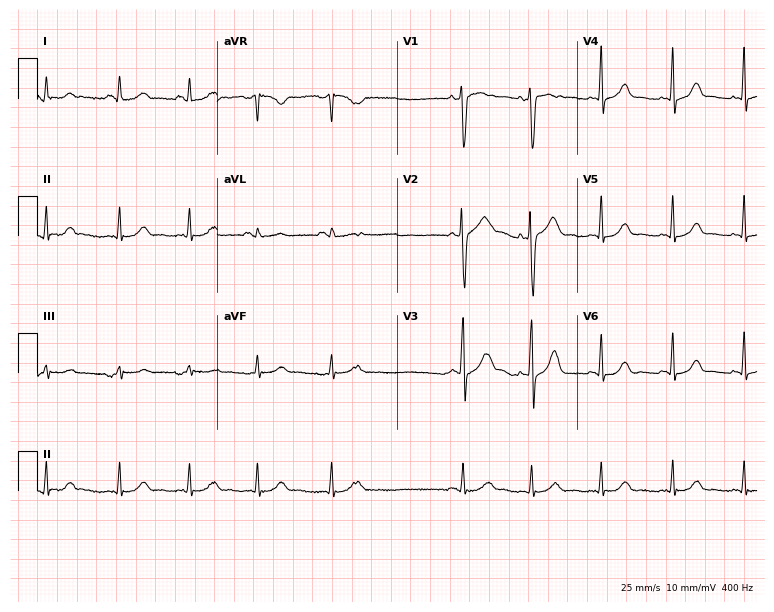
12-lead ECG from a woman, 34 years old. Screened for six findings — first-degree AV block, right bundle branch block, left bundle branch block, sinus bradycardia, atrial fibrillation, sinus tachycardia — none is recorded. Findings outside these six are not listed.